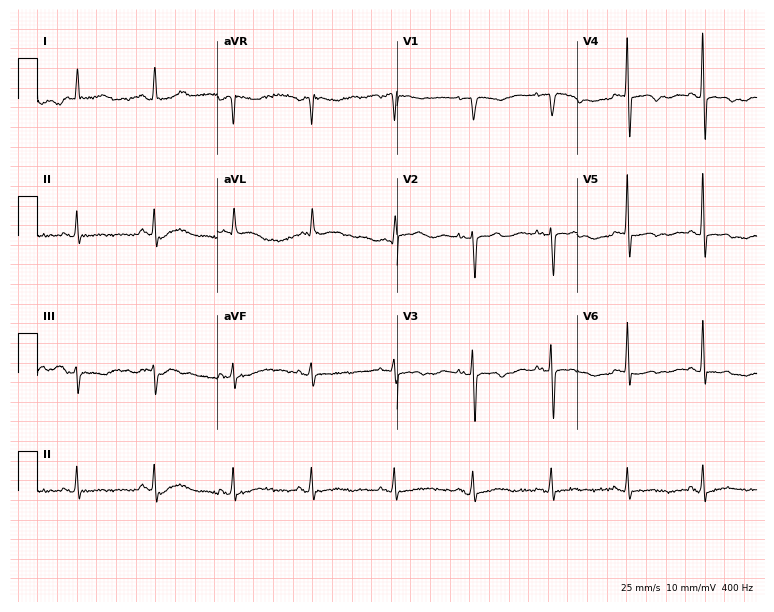
Standard 12-lead ECG recorded from a 73-year-old female patient. None of these six findings is recorded: first-degree AV block, right bundle branch block (RBBB), left bundle branch block (LBBB), sinus bradycardia, atrial fibrillation (AF), sinus tachycardia. Findings outside these six are not listed.